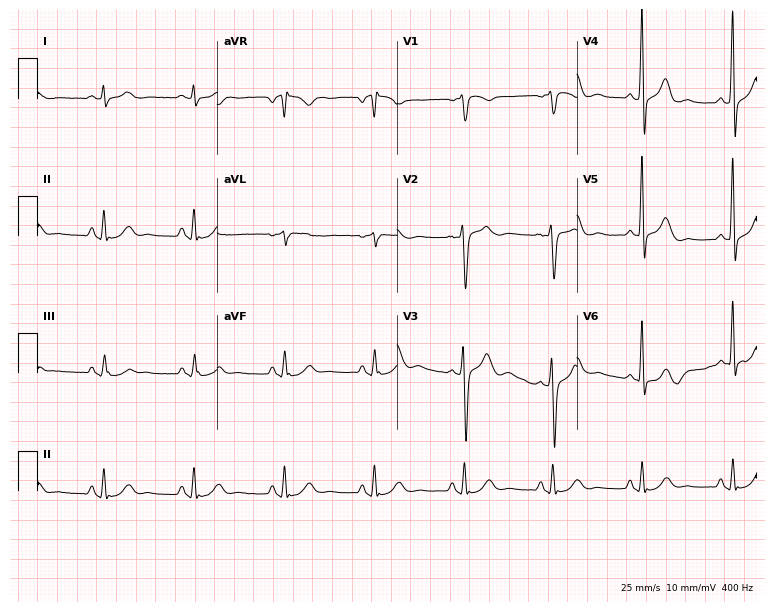
Electrocardiogram (7.3-second recording at 400 Hz), a 33-year-old woman. Of the six screened findings (first-degree AV block, right bundle branch block, left bundle branch block, sinus bradycardia, atrial fibrillation, sinus tachycardia), none is recorded.